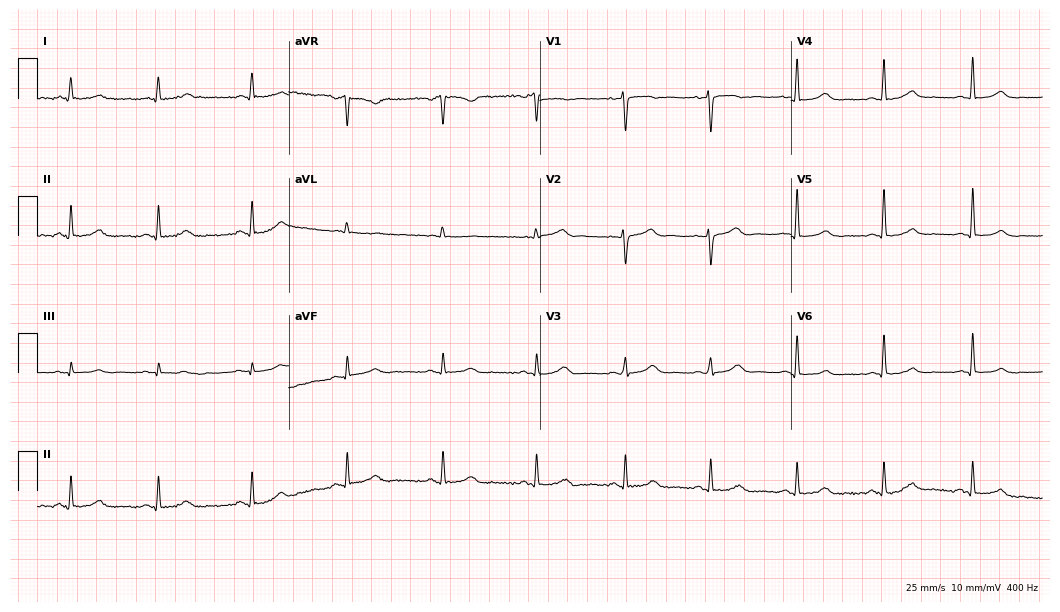
12-lead ECG from a female patient, 50 years old. No first-degree AV block, right bundle branch block, left bundle branch block, sinus bradycardia, atrial fibrillation or sinus tachycardia recorded for this tracing.